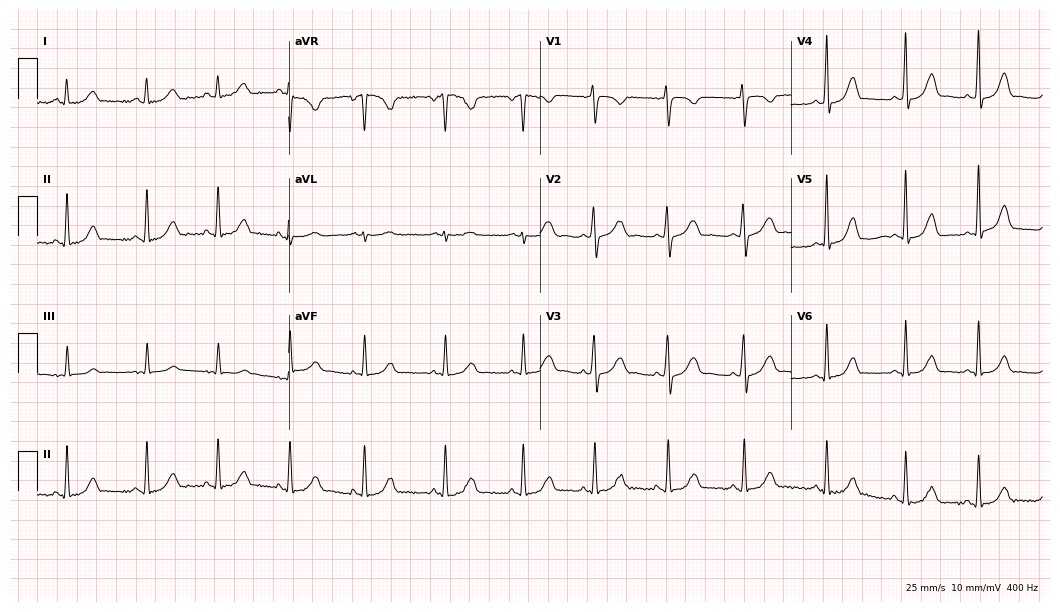
12-lead ECG from a female patient, 28 years old. Recorded interpretation: within normal limits.